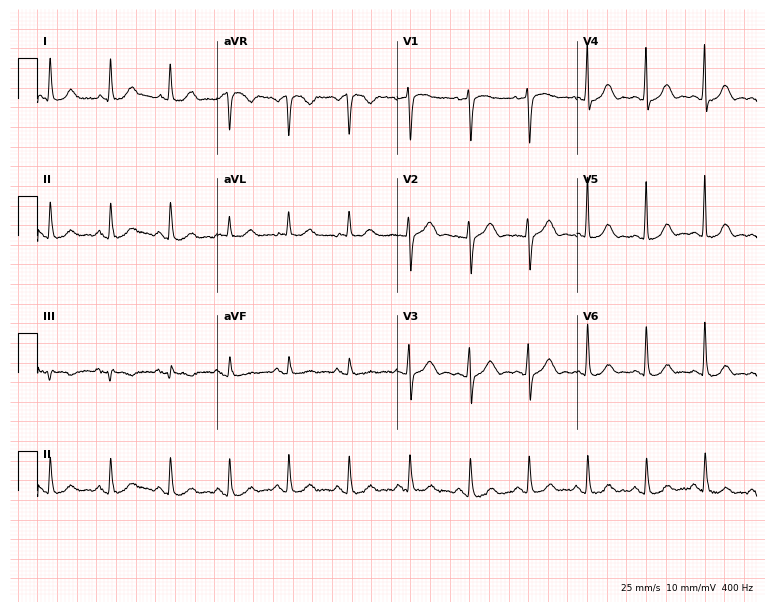
12-lead ECG from a 66-year-old female (7.3-second recording at 400 Hz). Recorded interpretation: within normal limits.